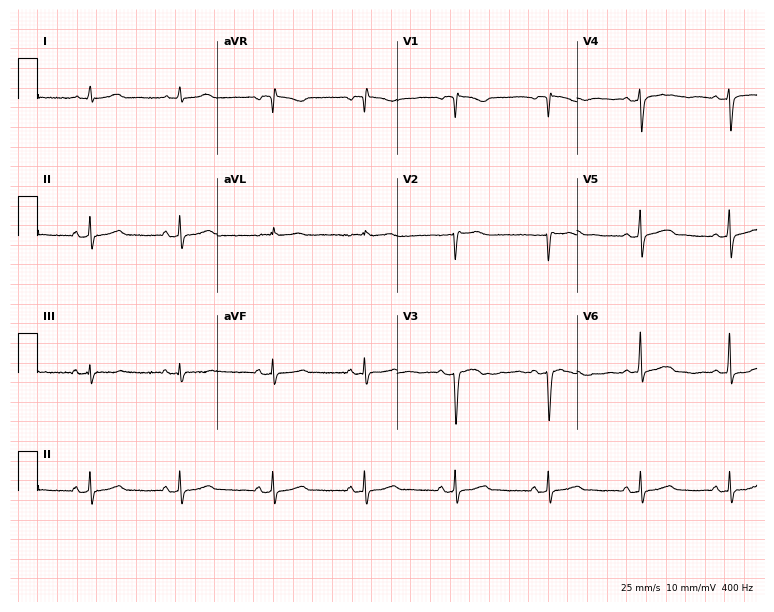
Electrocardiogram (7.3-second recording at 400 Hz), a 59-year-old female patient. Of the six screened findings (first-degree AV block, right bundle branch block, left bundle branch block, sinus bradycardia, atrial fibrillation, sinus tachycardia), none is recorded.